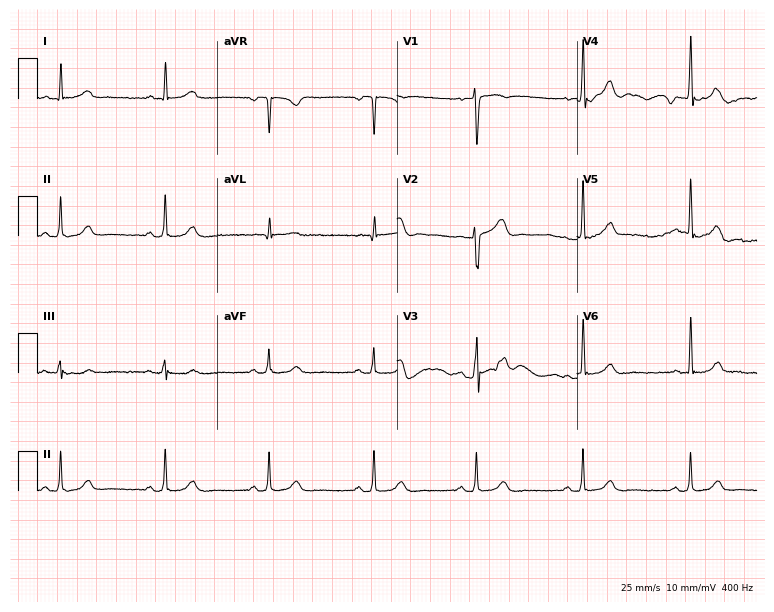
Resting 12-lead electrocardiogram (7.3-second recording at 400 Hz). Patient: a 38-year-old man. Read as a normal ECG.